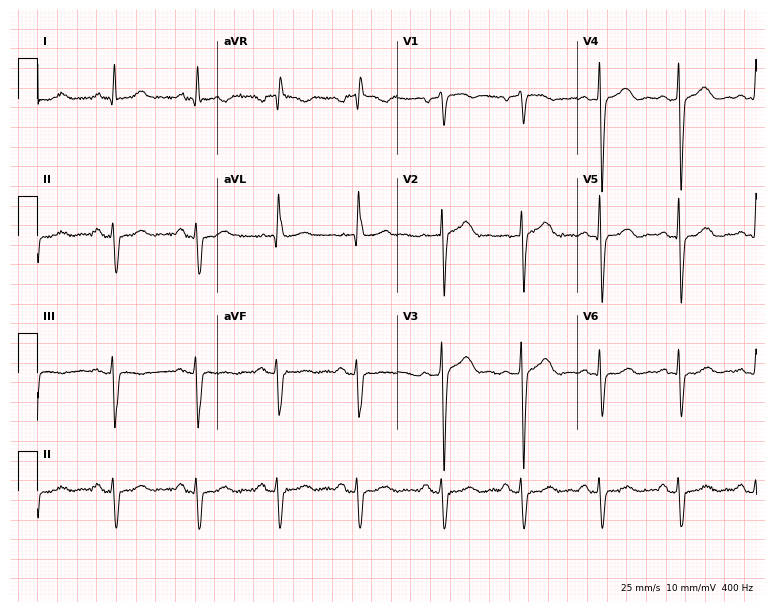
Standard 12-lead ECG recorded from a male patient, 83 years old. None of these six findings is recorded: first-degree AV block, right bundle branch block, left bundle branch block, sinus bradycardia, atrial fibrillation, sinus tachycardia. Other findings, if any, are not listed.